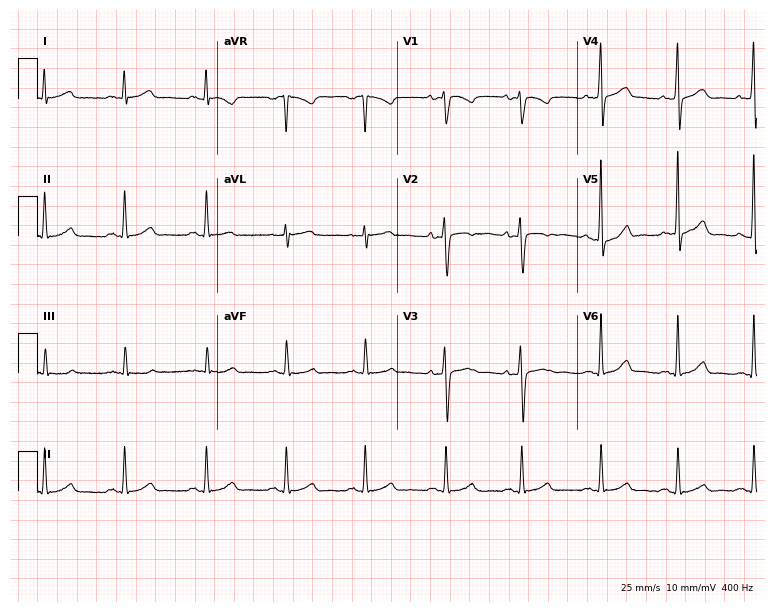
12-lead ECG (7.3-second recording at 400 Hz) from a 30-year-old male. Labelled as a normal ECG.